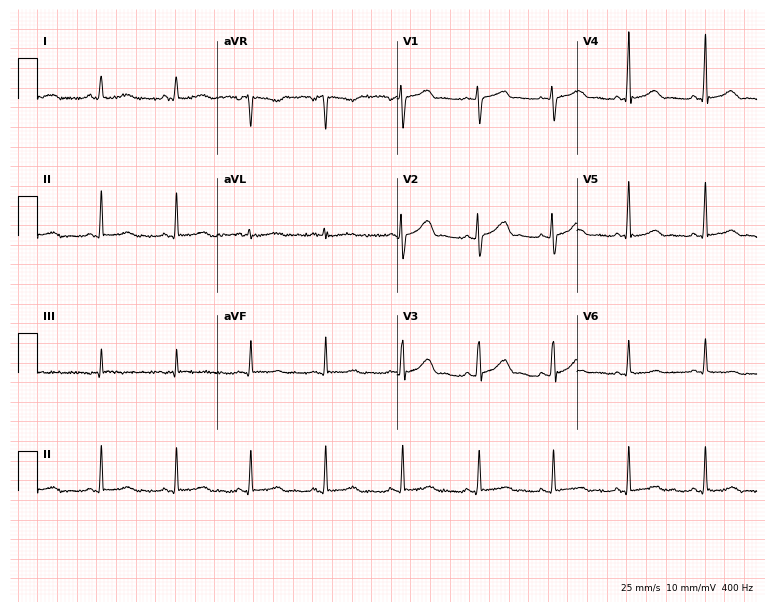
Electrocardiogram, a female, 51 years old. Of the six screened findings (first-degree AV block, right bundle branch block (RBBB), left bundle branch block (LBBB), sinus bradycardia, atrial fibrillation (AF), sinus tachycardia), none is recorded.